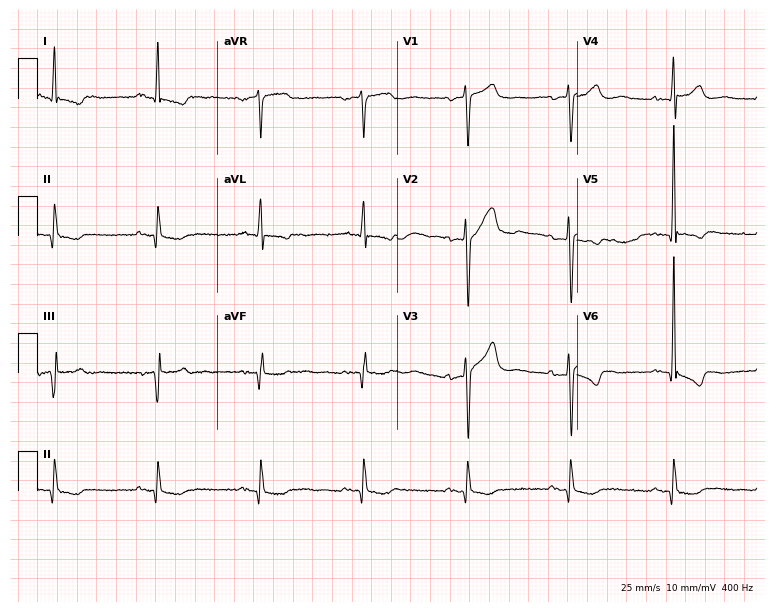
Electrocardiogram, a male, 85 years old. Of the six screened findings (first-degree AV block, right bundle branch block, left bundle branch block, sinus bradycardia, atrial fibrillation, sinus tachycardia), none is recorded.